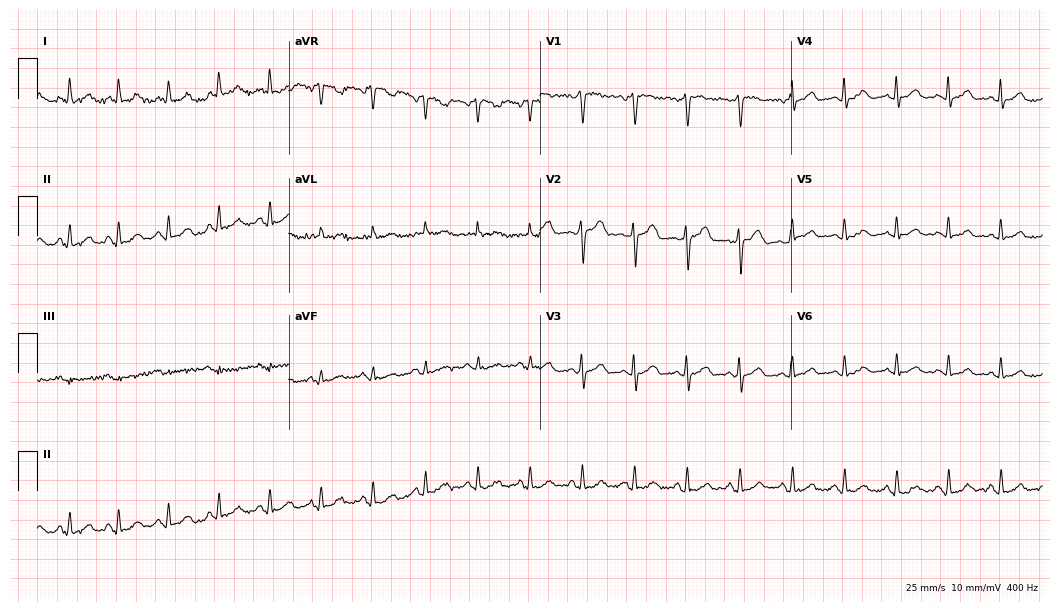
Electrocardiogram, a female patient, 41 years old. Interpretation includes sinus tachycardia (a sinus rate of 100 beats per minute or more).